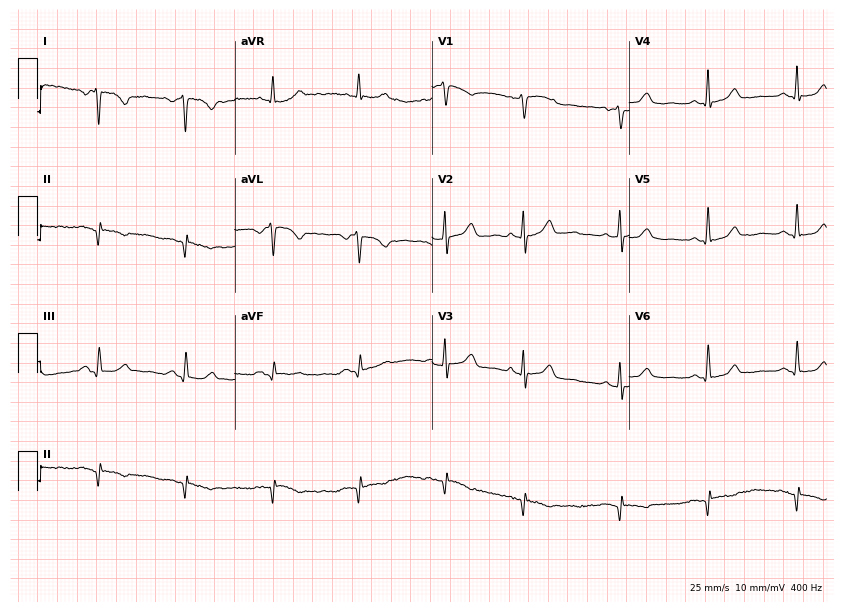
ECG — a woman, 66 years old. Screened for six findings — first-degree AV block, right bundle branch block, left bundle branch block, sinus bradycardia, atrial fibrillation, sinus tachycardia — none is recorded.